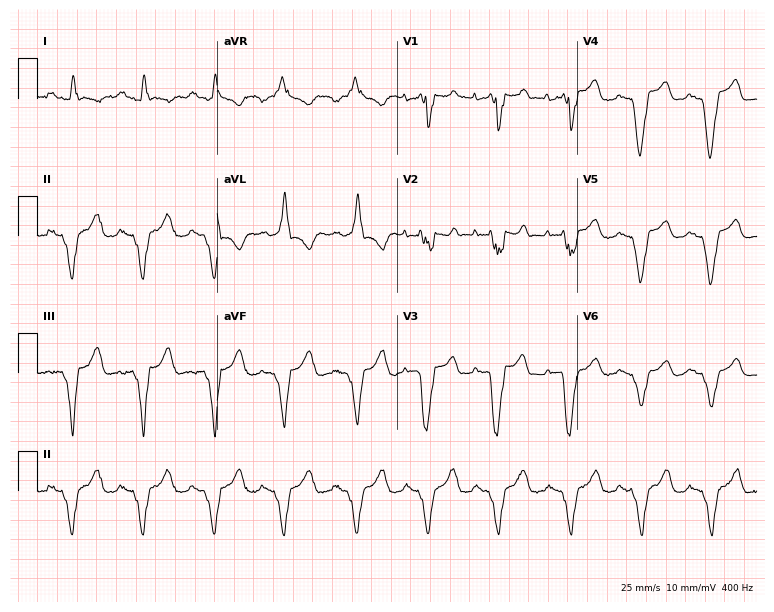
Resting 12-lead electrocardiogram (7.3-second recording at 400 Hz). Patient: a 40-year-old male. None of these six findings is recorded: first-degree AV block, right bundle branch block, left bundle branch block, sinus bradycardia, atrial fibrillation, sinus tachycardia. Findings outside these six are not listed.